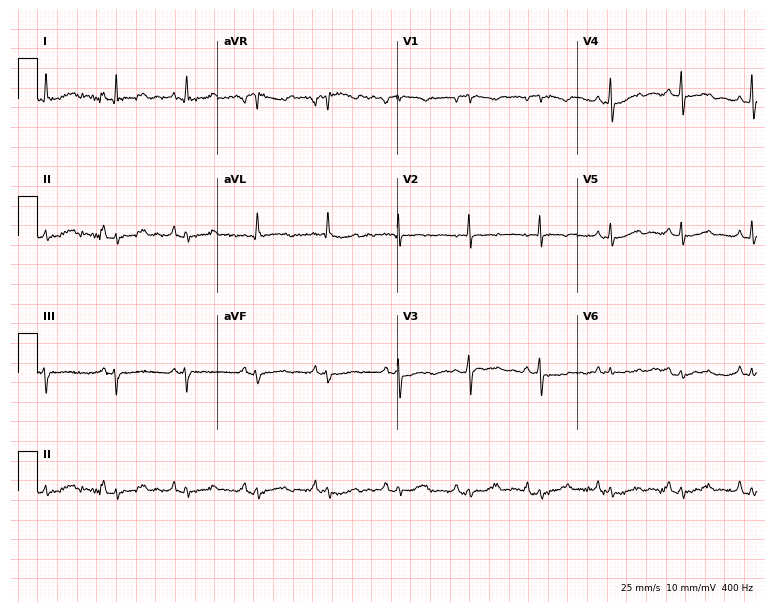
Standard 12-lead ECG recorded from a female, 77 years old (7.3-second recording at 400 Hz). None of these six findings is recorded: first-degree AV block, right bundle branch block, left bundle branch block, sinus bradycardia, atrial fibrillation, sinus tachycardia. Findings outside these six are not listed.